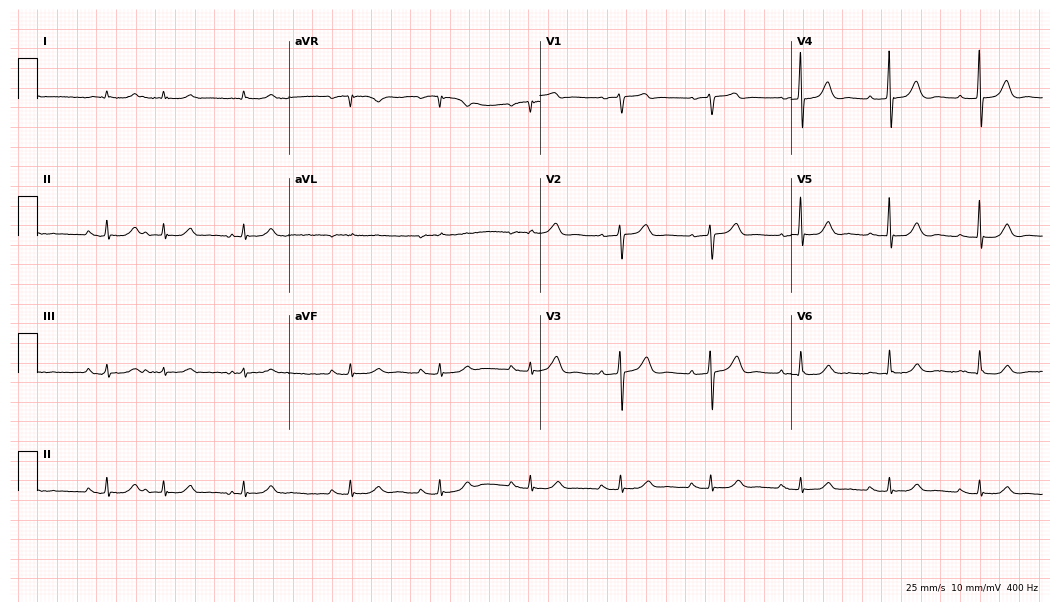
12-lead ECG from a male, 84 years old. Screened for six findings — first-degree AV block, right bundle branch block, left bundle branch block, sinus bradycardia, atrial fibrillation, sinus tachycardia — none is recorded.